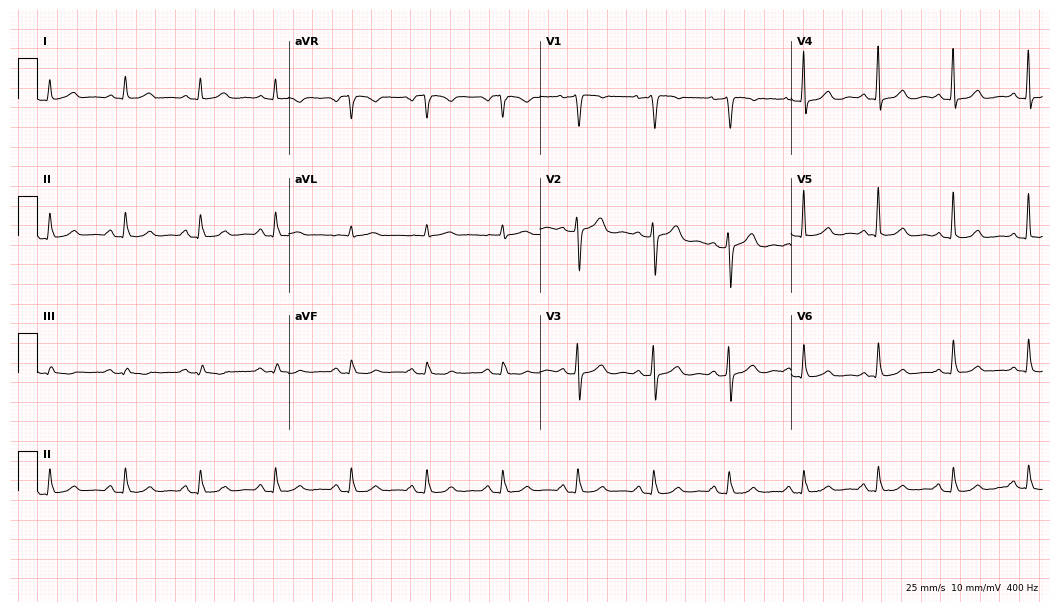
Standard 12-lead ECG recorded from a woman, 68 years old (10.2-second recording at 400 Hz). Read as a normal ECG.